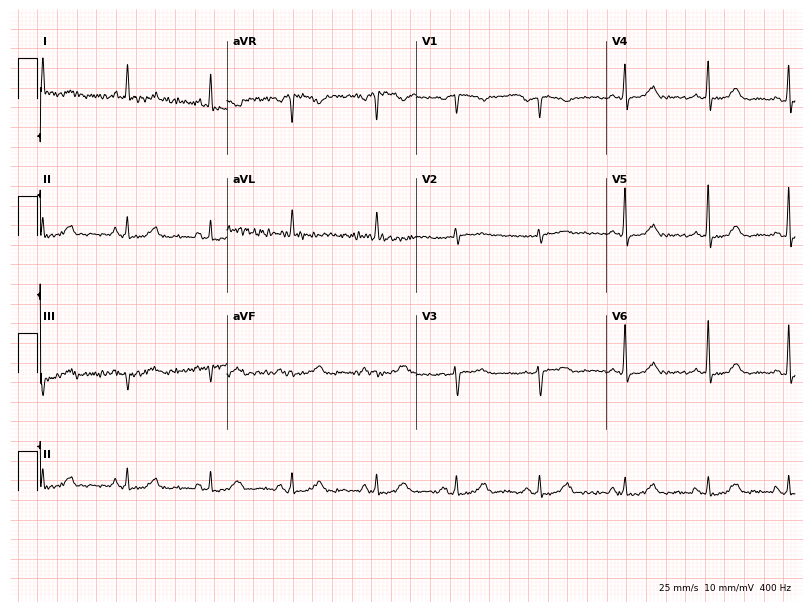
Resting 12-lead electrocardiogram (7.7-second recording at 400 Hz). Patient: a 74-year-old female. Read as a normal ECG.